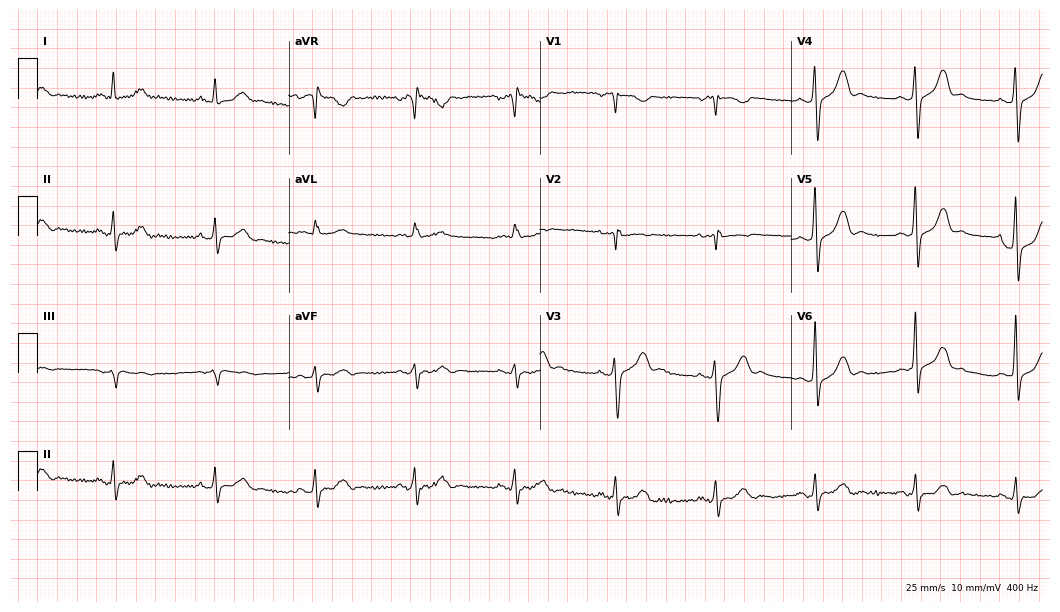
ECG (10.2-second recording at 400 Hz) — a man, 53 years old. Screened for six findings — first-degree AV block, right bundle branch block (RBBB), left bundle branch block (LBBB), sinus bradycardia, atrial fibrillation (AF), sinus tachycardia — none is recorded.